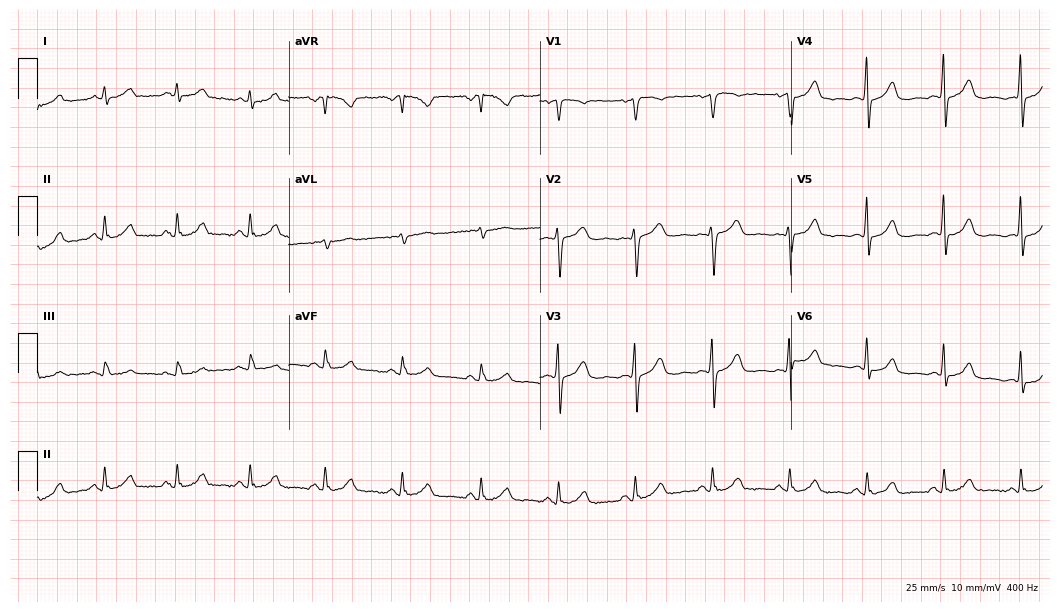
Electrocardiogram, a female patient, 50 years old. Overall reading on record: normal ECG.